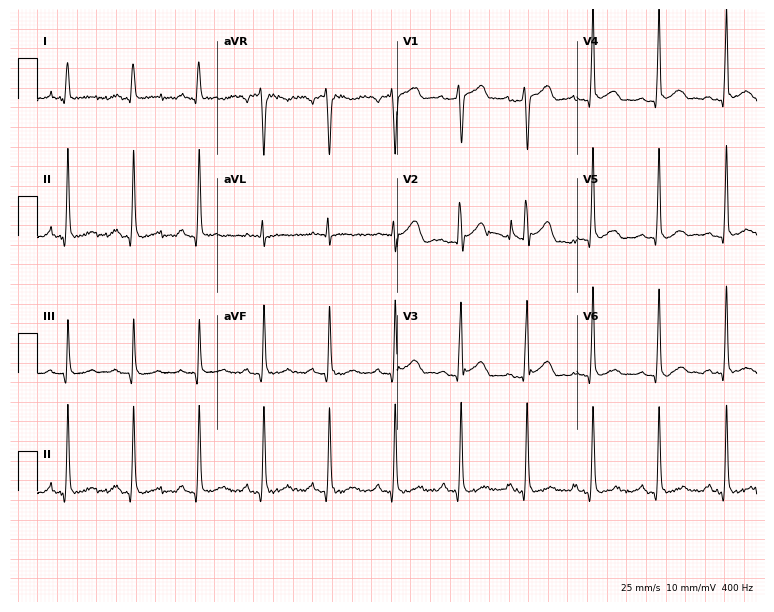
Standard 12-lead ECG recorded from a 49-year-old male patient (7.3-second recording at 400 Hz). None of these six findings is recorded: first-degree AV block, right bundle branch block (RBBB), left bundle branch block (LBBB), sinus bradycardia, atrial fibrillation (AF), sinus tachycardia.